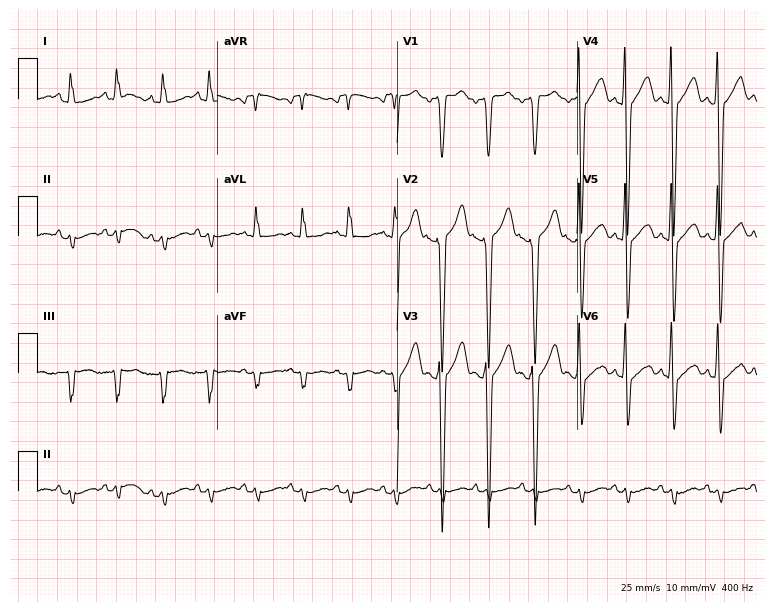
12-lead ECG from a 58-year-old male patient. Findings include sinus tachycardia (a sinus rate of 100 beats per minute or more).